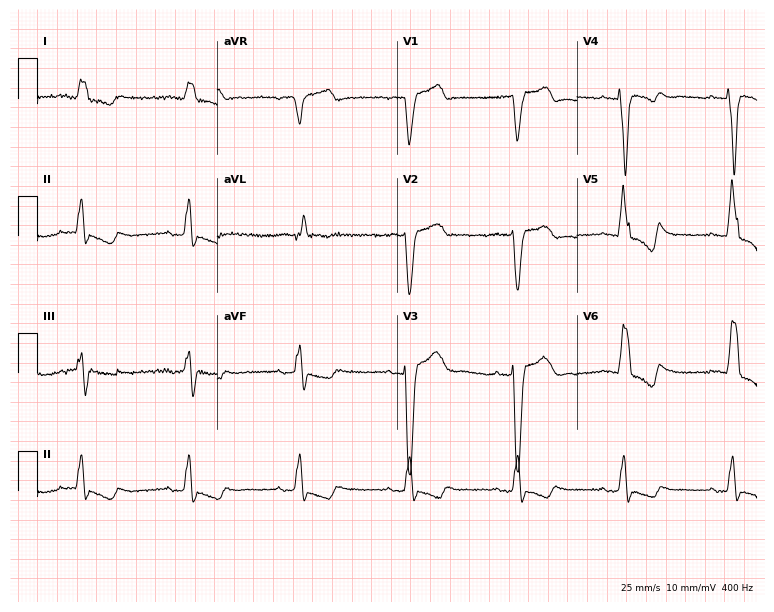
ECG — a 78-year-old man. Findings include left bundle branch block.